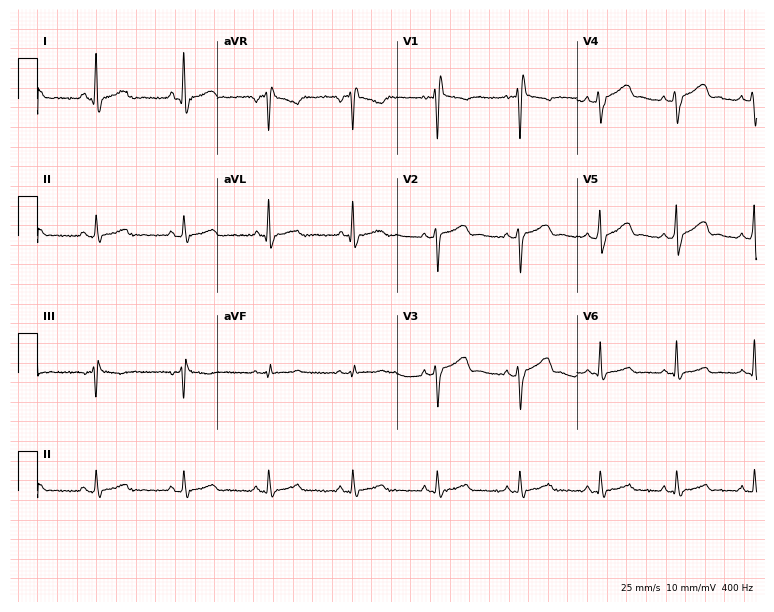
ECG (7.3-second recording at 400 Hz) — a 29-year-old male patient. Screened for six findings — first-degree AV block, right bundle branch block (RBBB), left bundle branch block (LBBB), sinus bradycardia, atrial fibrillation (AF), sinus tachycardia — none is recorded. Findings outside these six are not listed.